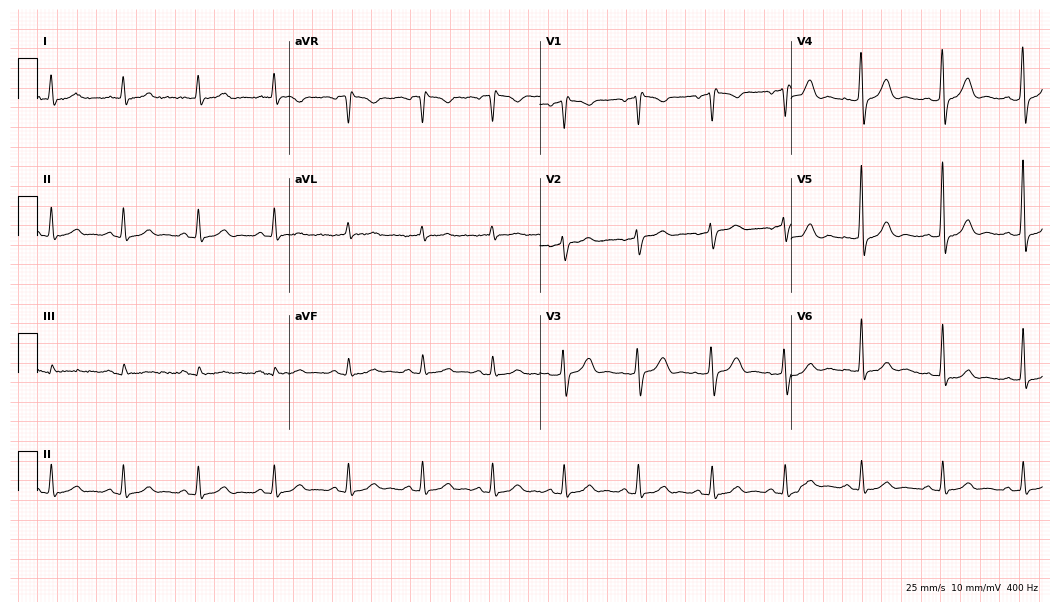
Electrocardiogram, a male patient, 40 years old. Overall reading on record: normal ECG.